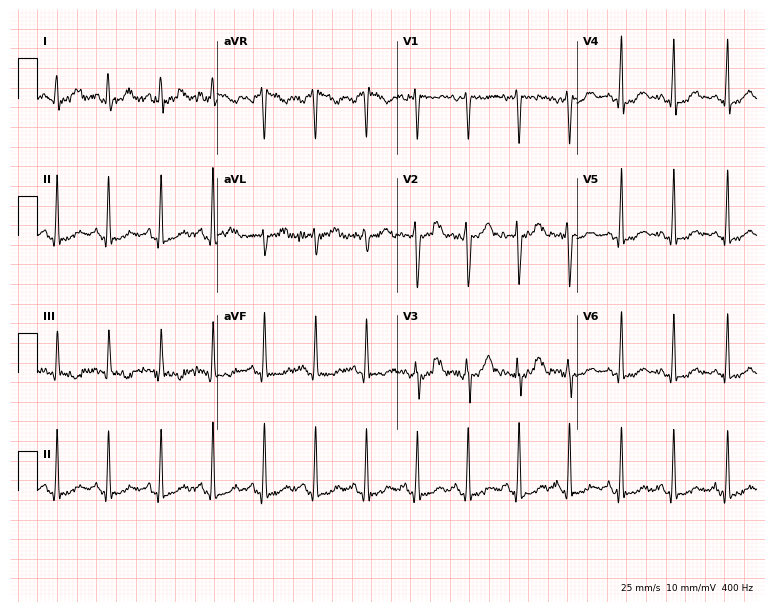
12-lead ECG (7.3-second recording at 400 Hz) from a 30-year-old woman. Findings include sinus tachycardia (a sinus rate of 100 beats per minute or more).